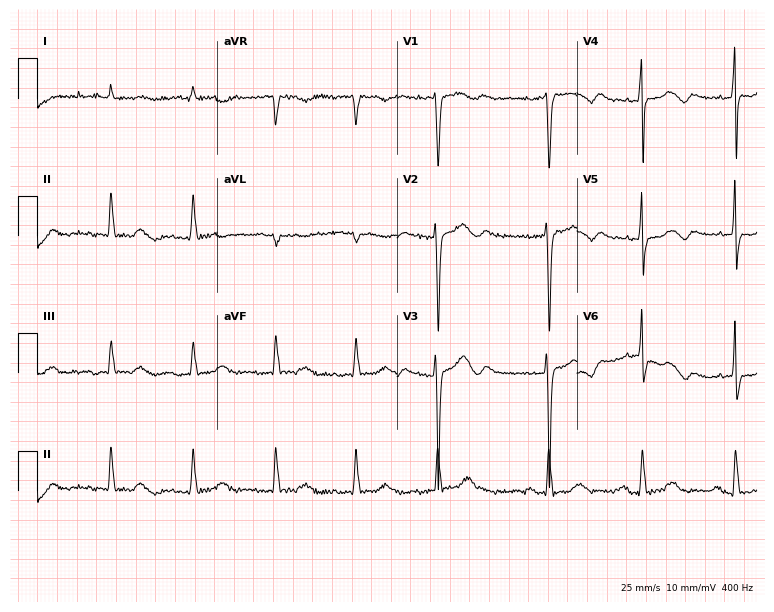
12-lead ECG from an 84-year-old male (7.3-second recording at 400 Hz). Recorded interpretation: within normal limits.